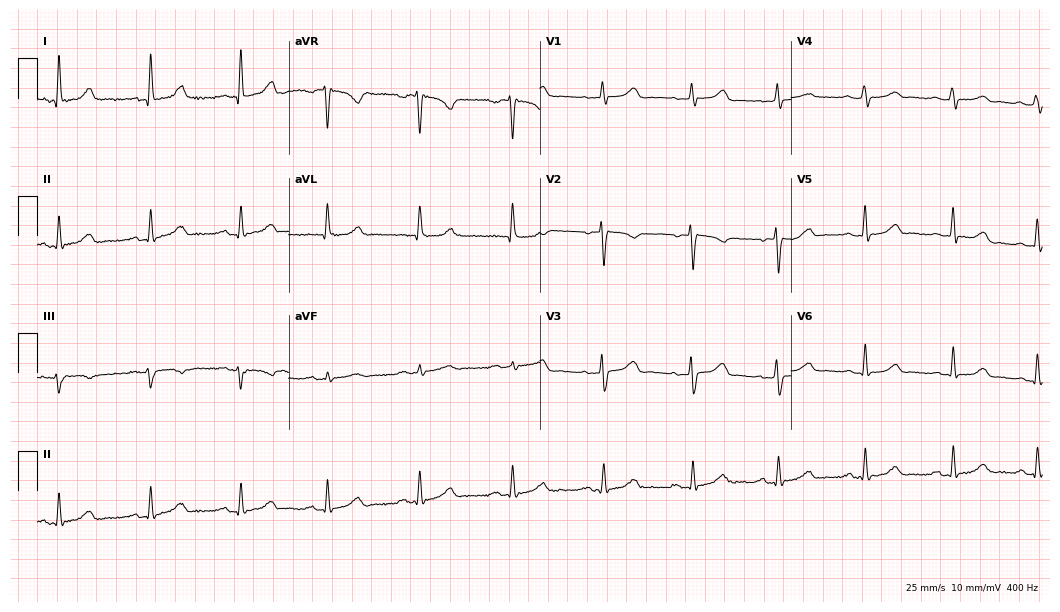
12-lead ECG from a female, 60 years old (10.2-second recording at 400 Hz). Recorded interpretation: within normal limits.